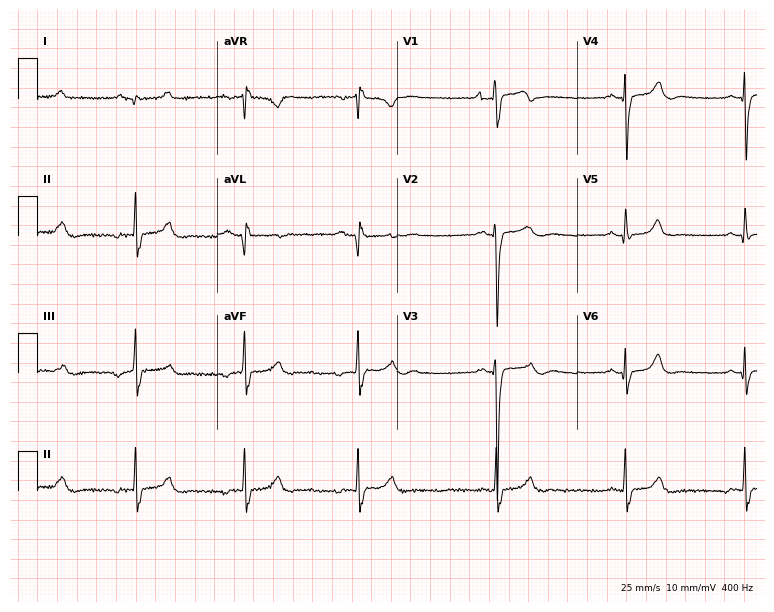
Standard 12-lead ECG recorded from a male patient, 33 years old. None of these six findings is recorded: first-degree AV block, right bundle branch block, left bundle branch block, sinus bradycardia, atrial fibrillation, sinus tachycardia.